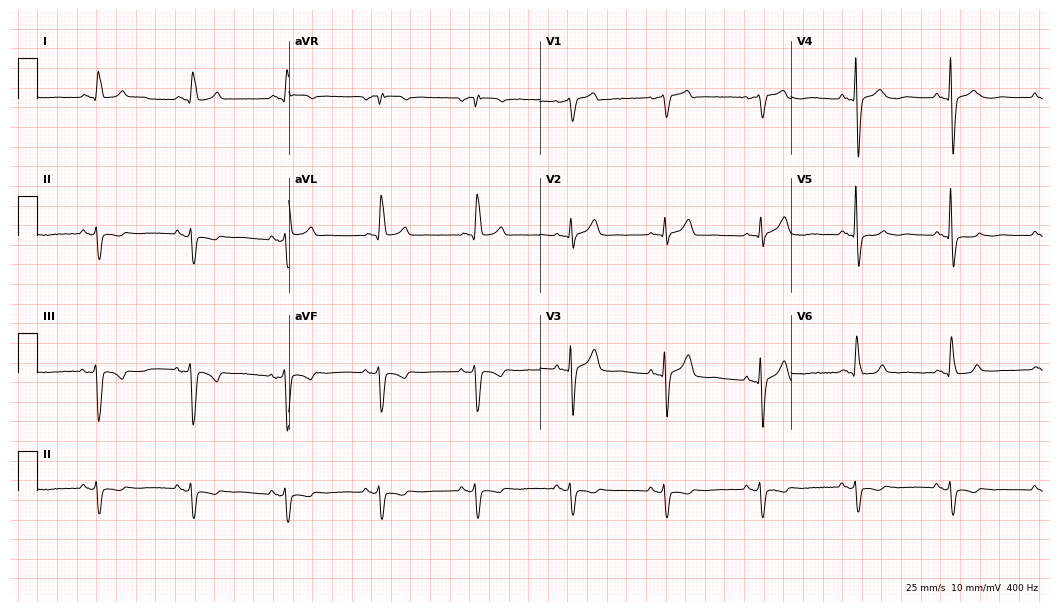
ECG — a male patient, 85 years old. Screened for six findings — first-degree AV block, right bundle branch block (RBBB), left bundle branch block (LBBB), sinus bradycardia, atrial fibrillation (AF), sinus tachycardia — none is recorded. Other findings, if any, are not listed.